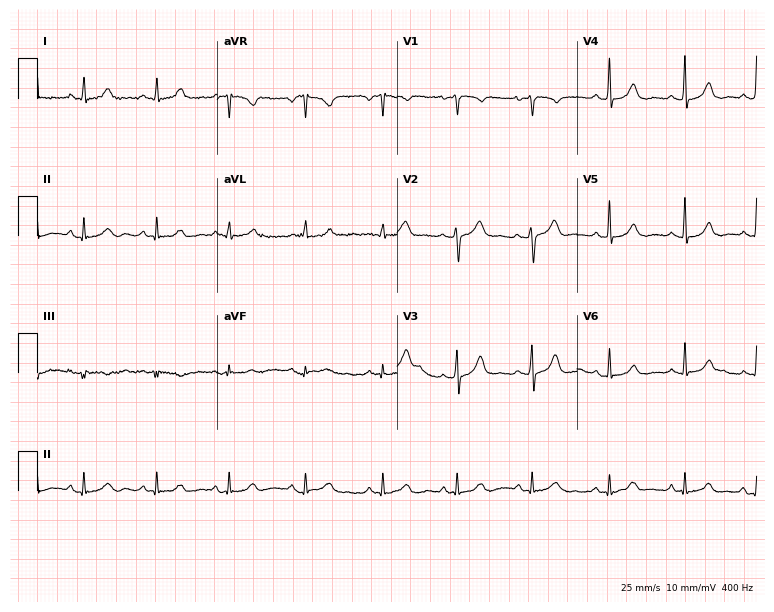
Electrocardiogram, a 39-year-old female. Overall reading on record: normal ECG.